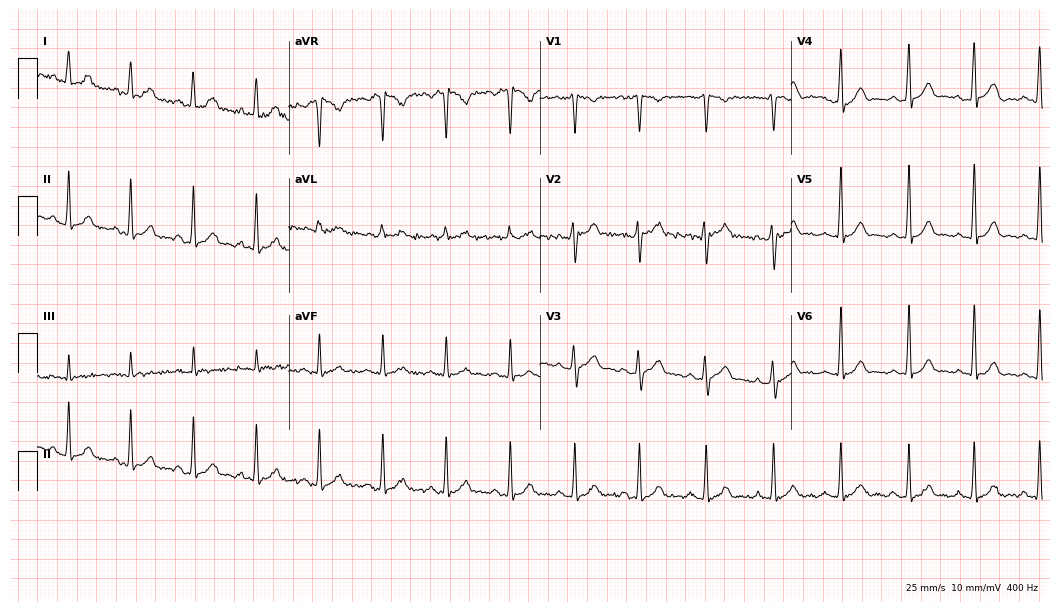
ECG (10.2-second recording at 400 Hz) — a 23-year-old male. Labelled as a normal ECG.